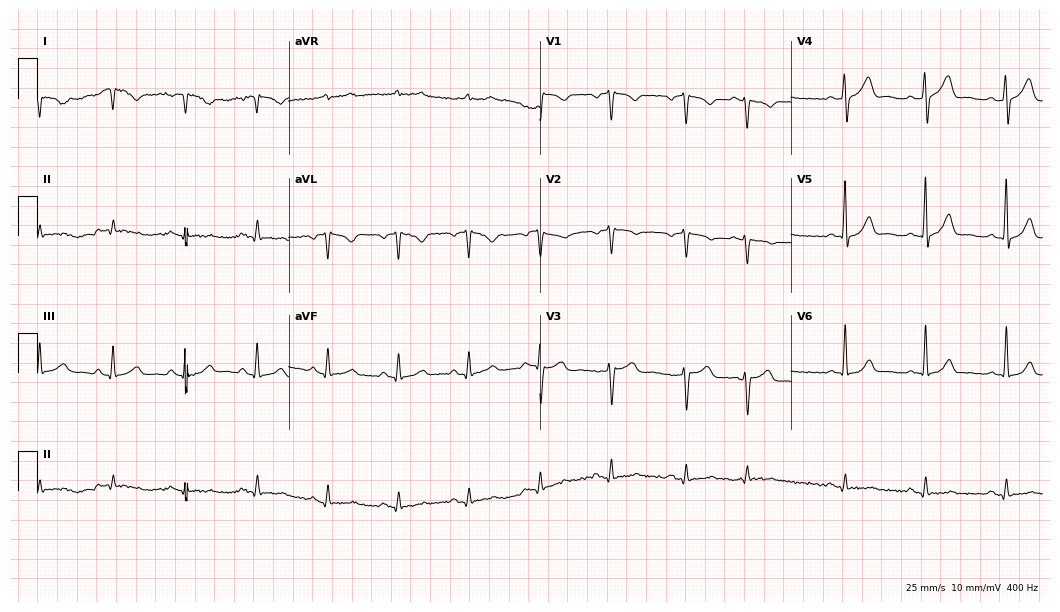
Electrocardiogram, a 64-year-old man. Of the six screened findings (first-degree AV block, right bundle branch block, left bundle branch block, sinus bradycardia, atrial fibrillation, sinus tachycardia), none is recorded. Only these six findings were labelled.